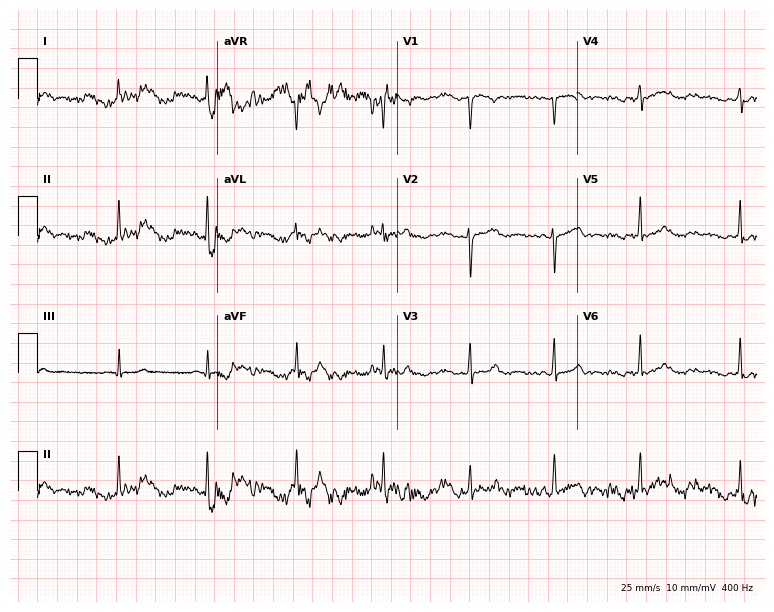
12-lead ECG from a 38-year-old female. Recorded interpretation: within normal limits.